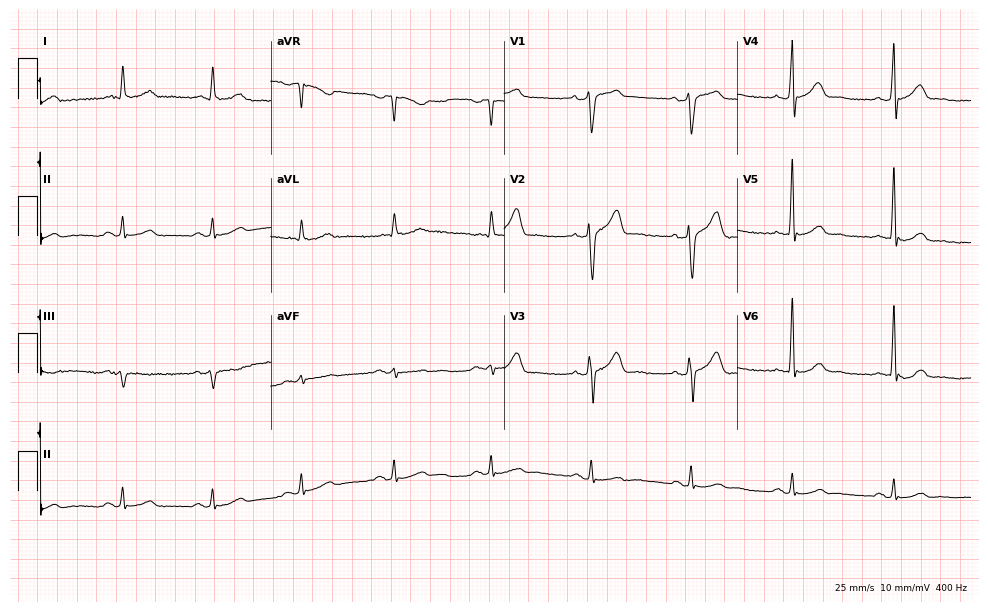
12-lead ECG from a man, 69 years old. No first-degree AV block, right bundle branch block, left bundle branch block, sinus bradycardia, atrial fibrillation or sinus tachycardia recorded for this tracing. Other findings, if any, are not listed.